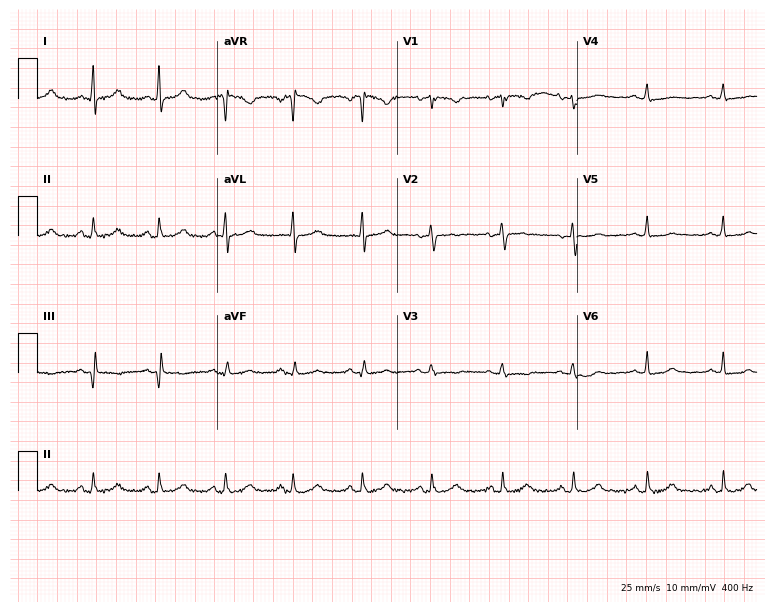
Resting 12-lead electrocardiogram. Patient: a 52-year-old female. None of these six findings is recorded: first-degree AV block, right bundle branch block, left bundle branch block, sinus bradycardia, atrial fibrillation, sinus tachycardia. Other findings, if any, are not listed.